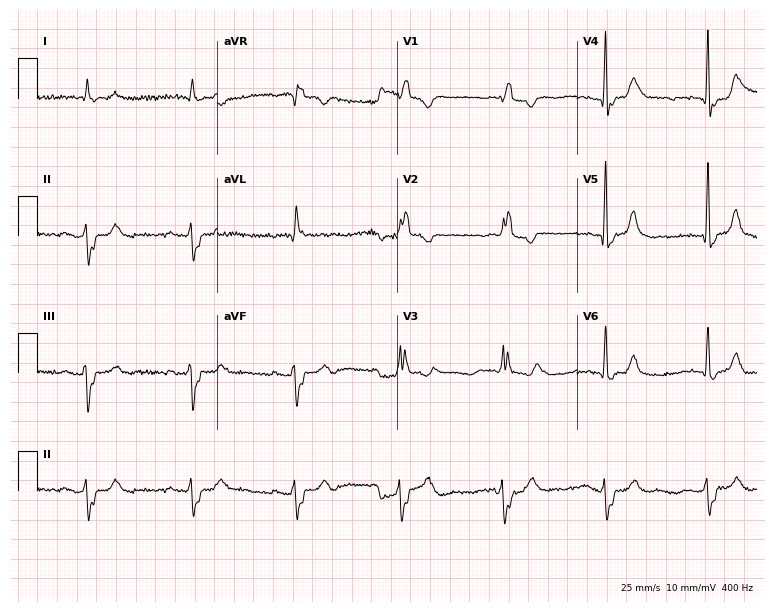
ECG — a 77-year-old man. Findings include right bundle branch block (RBBB).